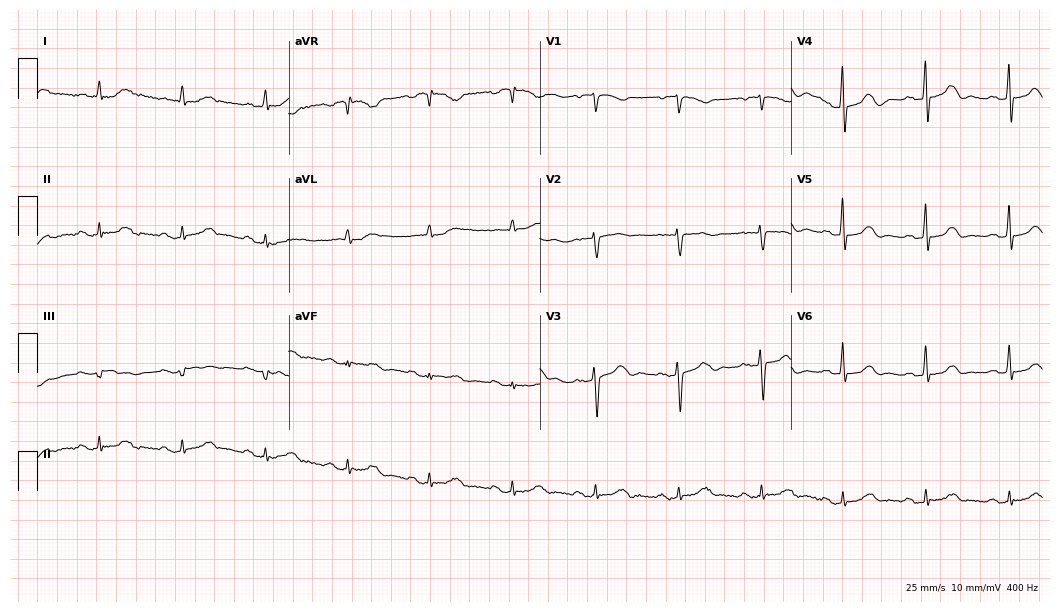
ECG (10.2-second recording at 400 Hz) — a female, 84 years old. Labelled as a normal ECG.